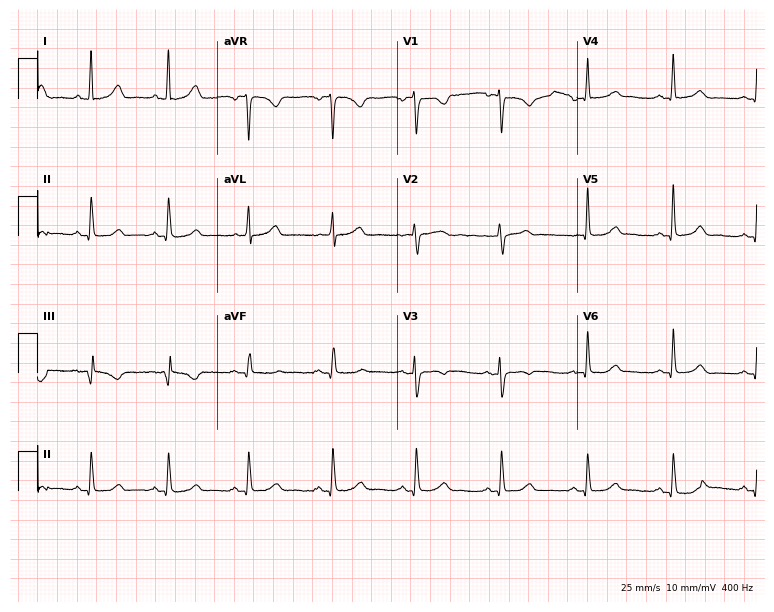
Standard 12-lead ECG recorded from a 56-year-old female (7.3-second recording at 400 Hz). None of these six findings is recorded: first-degree AV block, right bundle branch block, left bundle branch block, sinus bradycardia, atrial fibrillation, sinus tachycardia. Only these six findings were labelled.